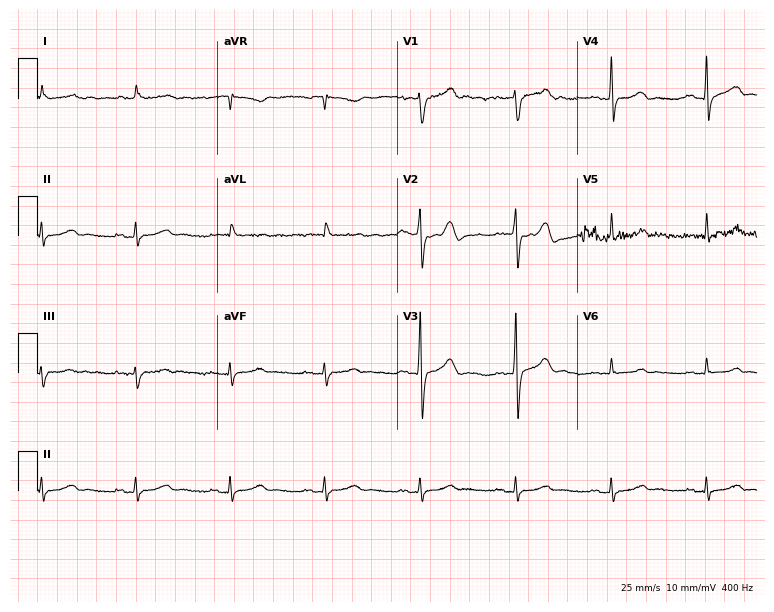
Standard 12-lead ECG recorded from an 80-year-old man. Read as a normal ECG.